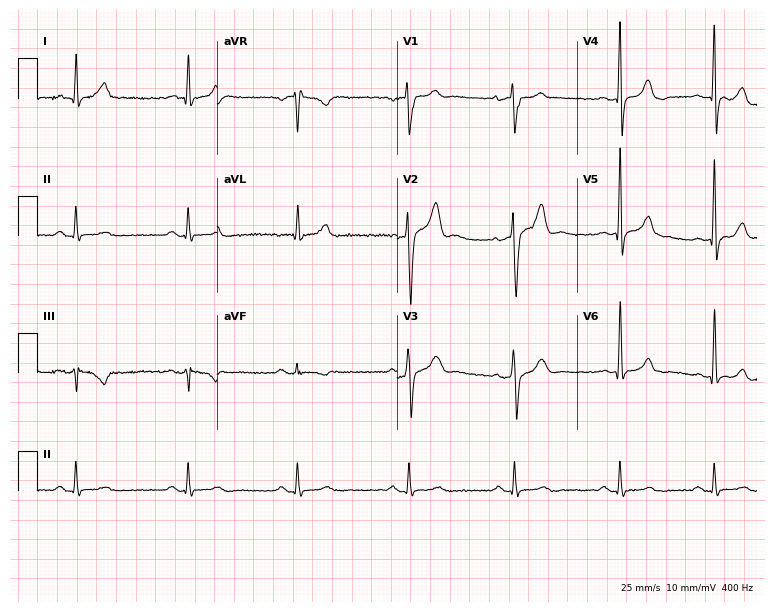
Electrocardiogram (7.3-second recording at 400 Hz), a 47-year-old male. Of the six screened findings (first-degree AV block, right bundle branch block (RBBB), left bundle branch block (LBBB), sinus bradycardia, atrial fibrillation (AF), sinus tachycardia), none is recorded.